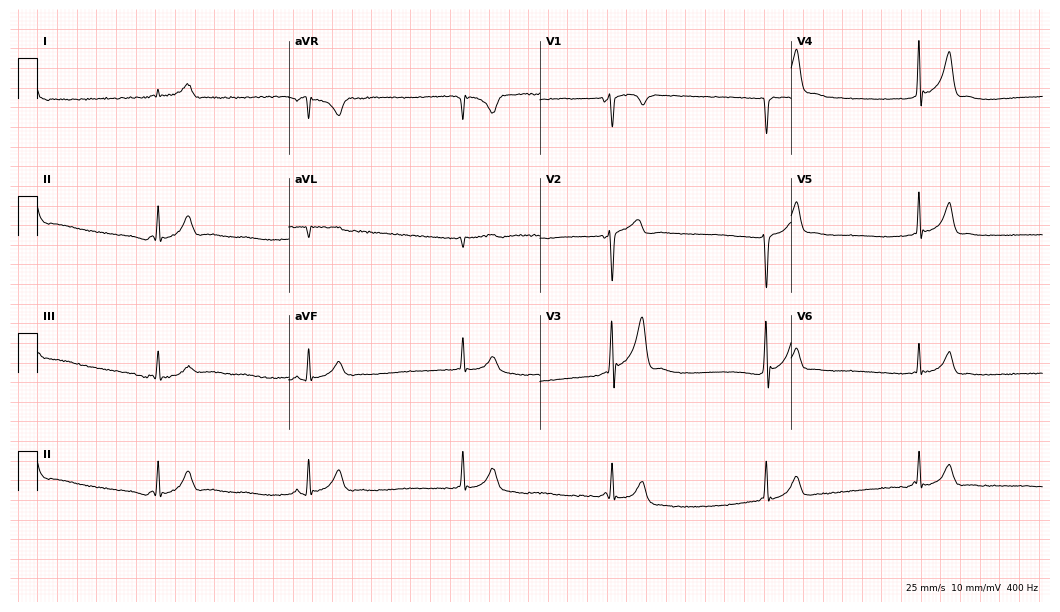
12-lead ECG from a 23-year-old man (10.2-second recording at 400 Hz). Shows sinus bradycardia (a sinus rate of 50 beats per minute or less).